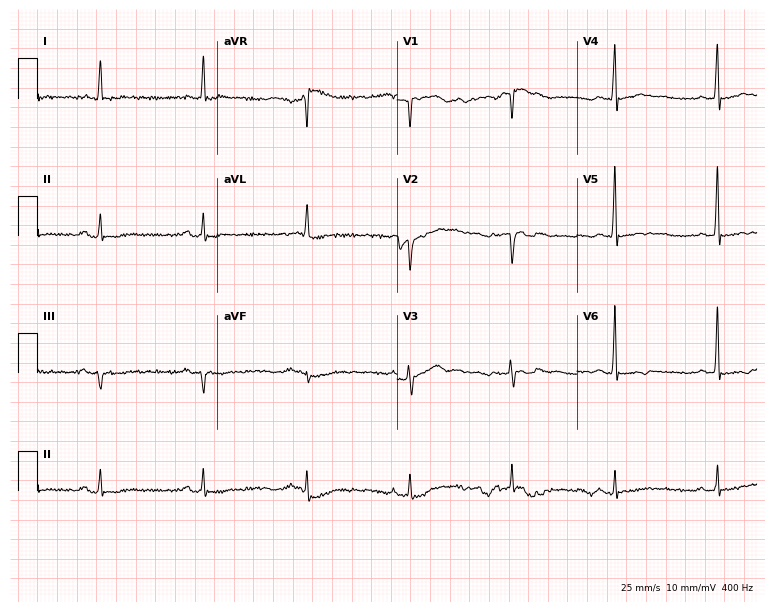
ECG (7.3-second recording at 400 Hz) — a male patient, 67 years old. Labelled as a normal ECG.